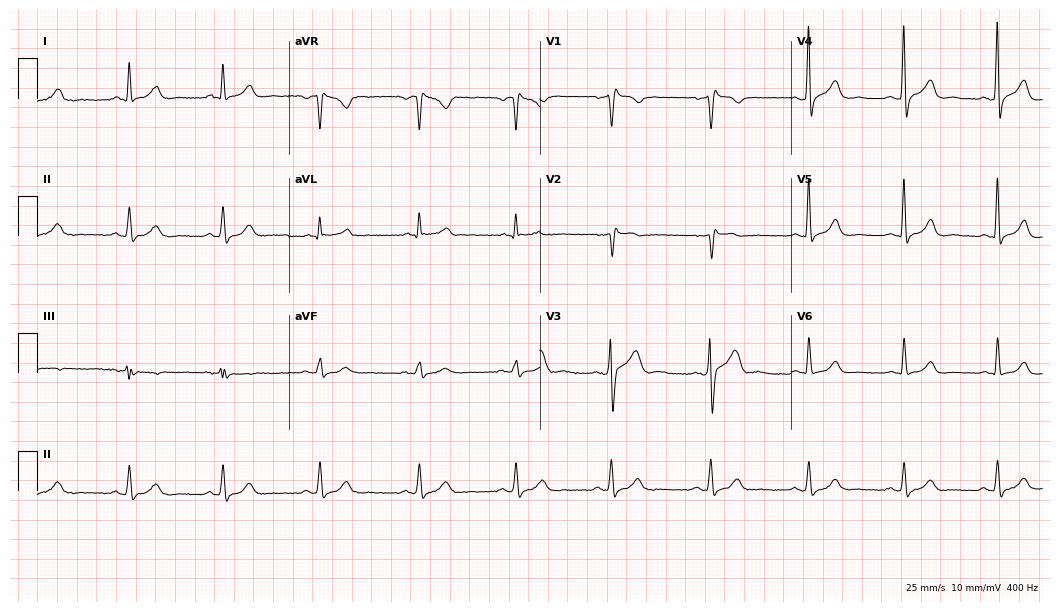
Standard 12-lead ECG recorded from a 48-year-old man (10.2-second recording at 400 Hz). None of these six findings is recorded: first-degree AV block, right bundle branch block, left bundle branch block, sinus bradycardia, atrial fibrillation, sinus tachycardia. Only these six findings were labelled.